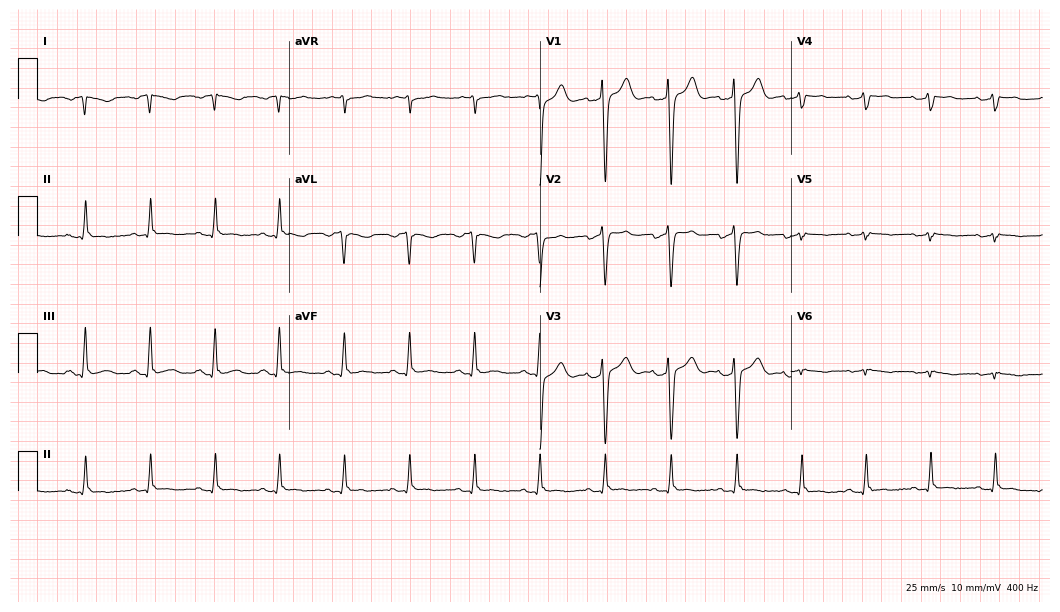
Resting 12-lead electrocardiogram (10.2-second recording at 400 Hz). Patient: a 51-year-old man. None of these six findings is recorded: first-degree AV block, right bundle branch block, left bundle branch block, sinus bradycardia, atrial fibrillation, sinus tachycardia. Other findings, if any, are not listed.